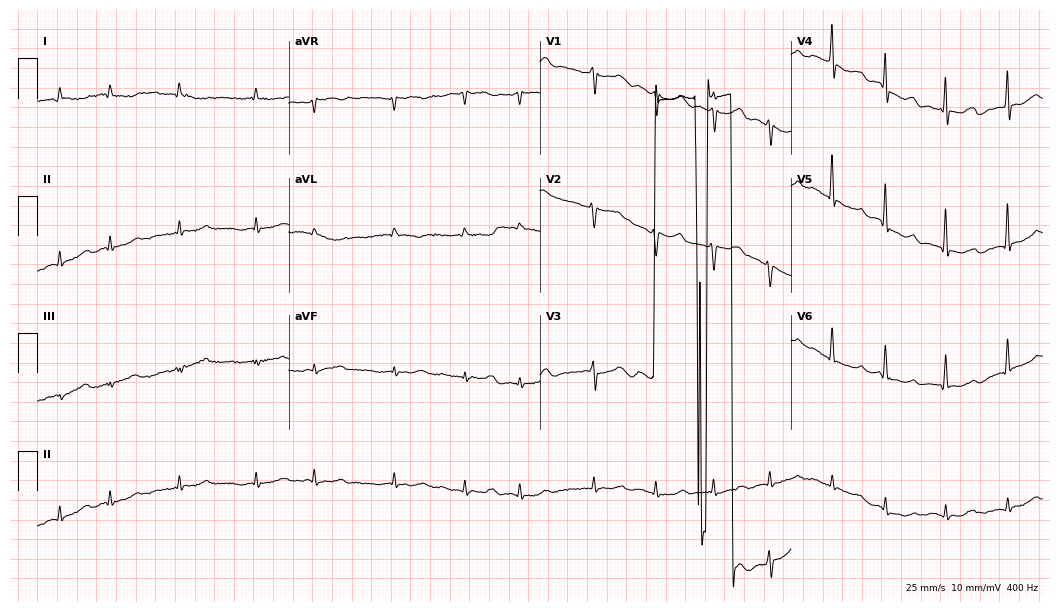
Resting 12-lead electrocardiogram. Patient: an 85-year-old female. The tracing shows atrial fibrillation.